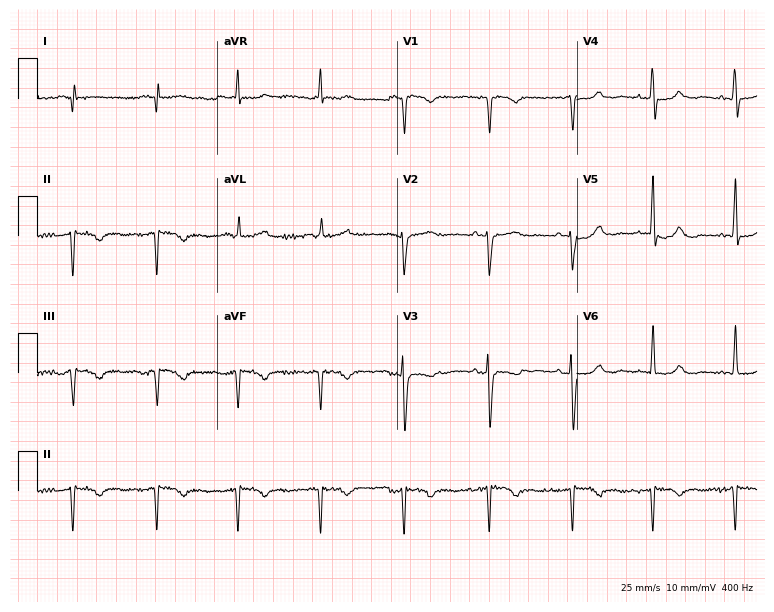
12-lead ECG from a 52-year-old female patient. Screened for six findings — first-degree AV block, right bundle branch block, left bundle branch block, sinus bradycardia, atrial fibrillation, sinus tachycardia — none is recorded. Findings outside these six are not listed.